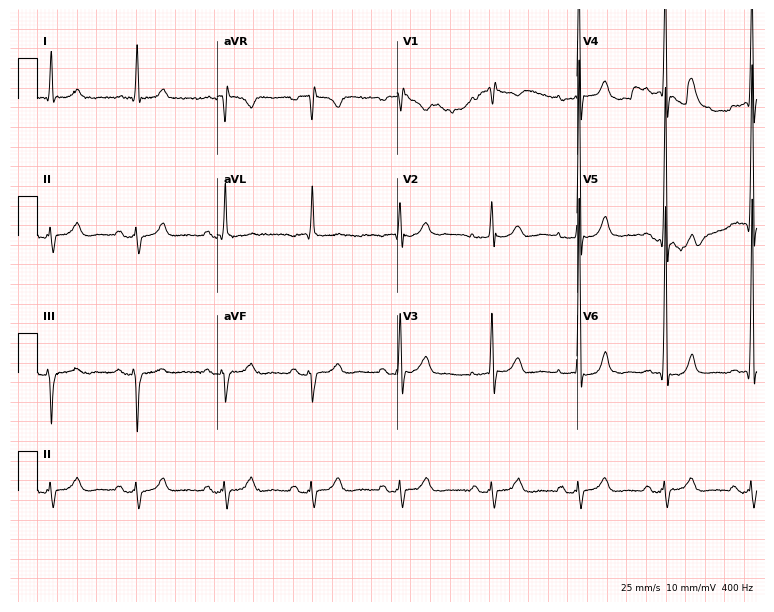
Resting 12-lead electrocardiogram (7.3-second recording at 400 Hz). Patient: a man, 80 years old. None of these six findings is recorded: first-degree AV block, right bundle branch block, left bundle branch block, sinus bradycardia, atrial fibrillation, sinus tachycardia.